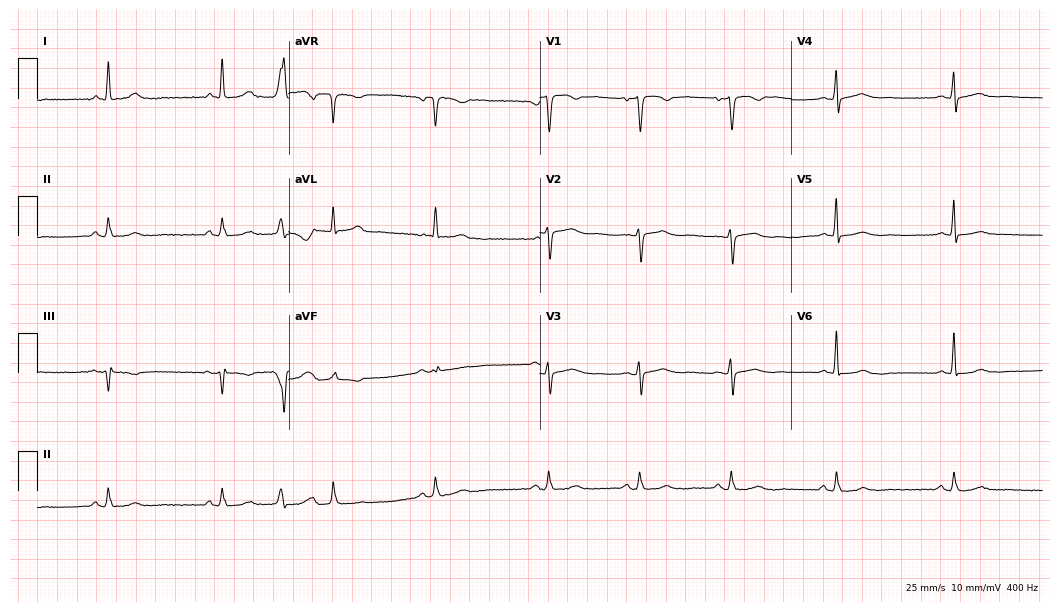
12-lead ECG from a female patient, 65 years old. No first-degree AV block, right bundle branch block (RBBB), left bundle branch block (LBBB), sinus bradycardia, atrial fibrillation (AF) or sinus tachycardia recorded for this tracing. Other findings, if any, are not listed.